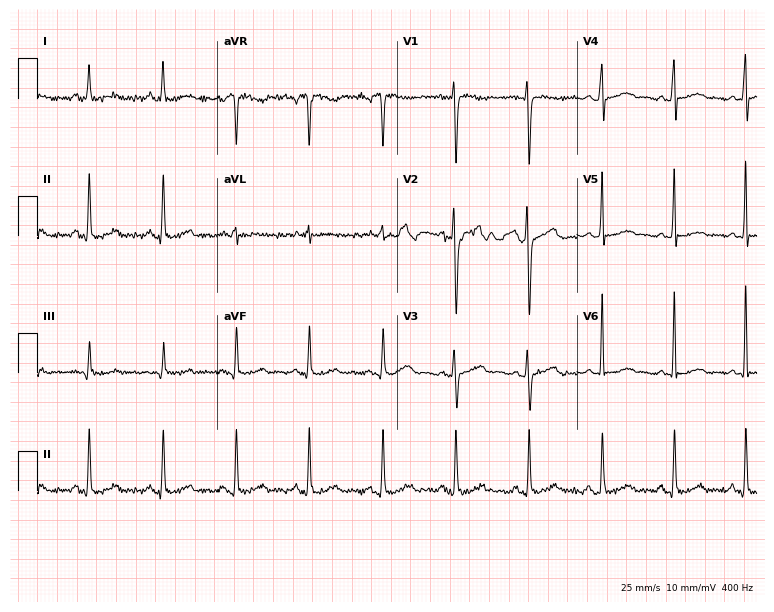
Resting 12-lead electrocardiogram. Patient: a 21-year-old female. Read as a normal ECG.